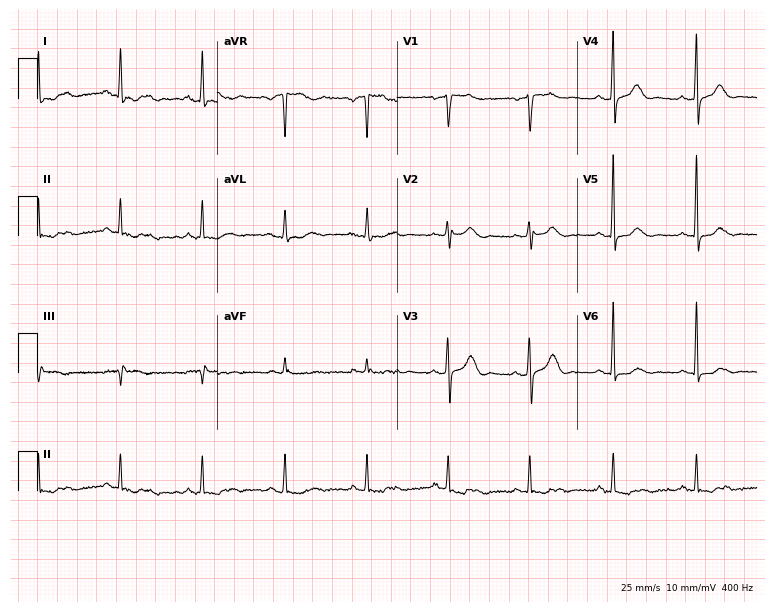
Standard 12-lead ECG recorded from a 68-year-old female patient. Read as a normal ECG.